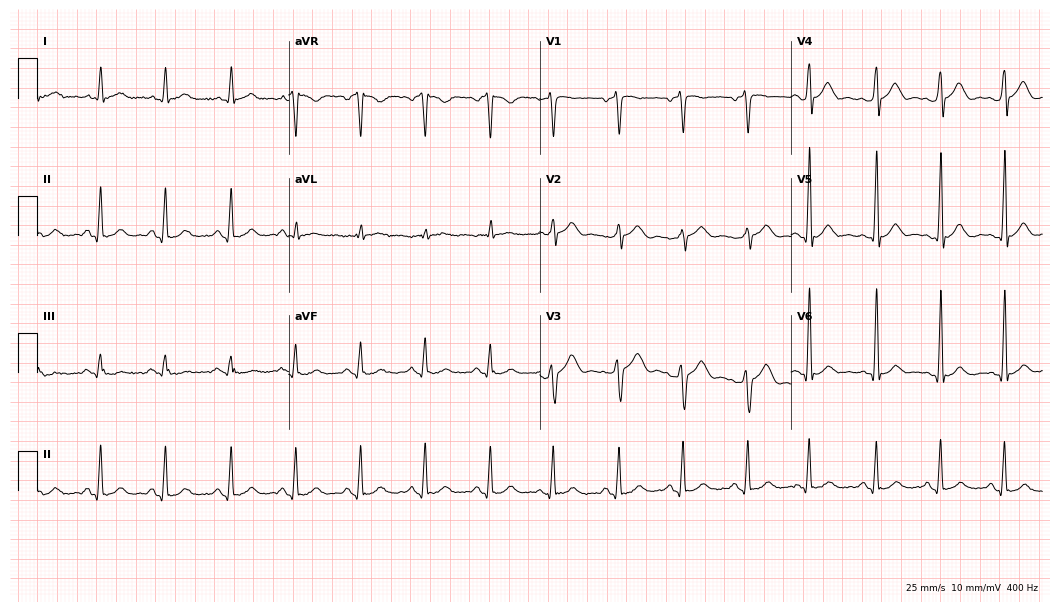
Standard 12-lead ECG recorded from a male patient, 56 years old. Read as a normal ECG.